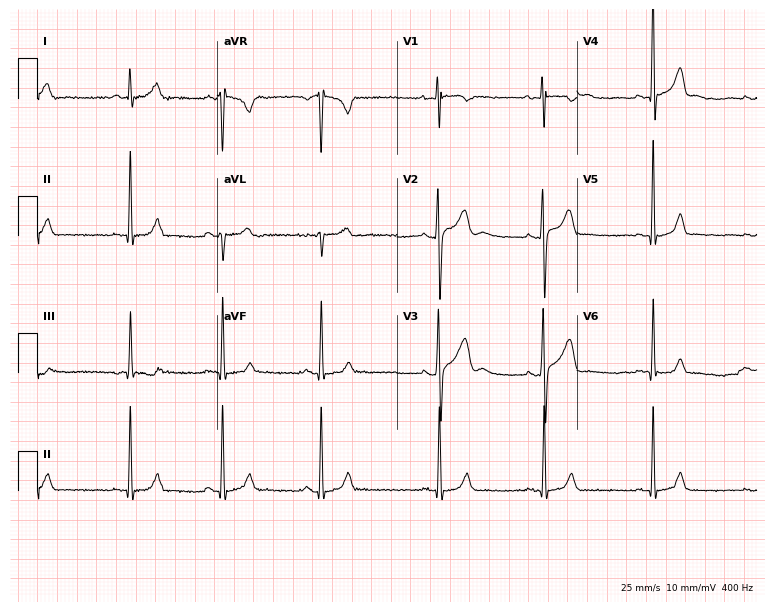
Resting 12-lead electrocardiogram. Patient: a male, 24 years old. Read as a normal ECG.